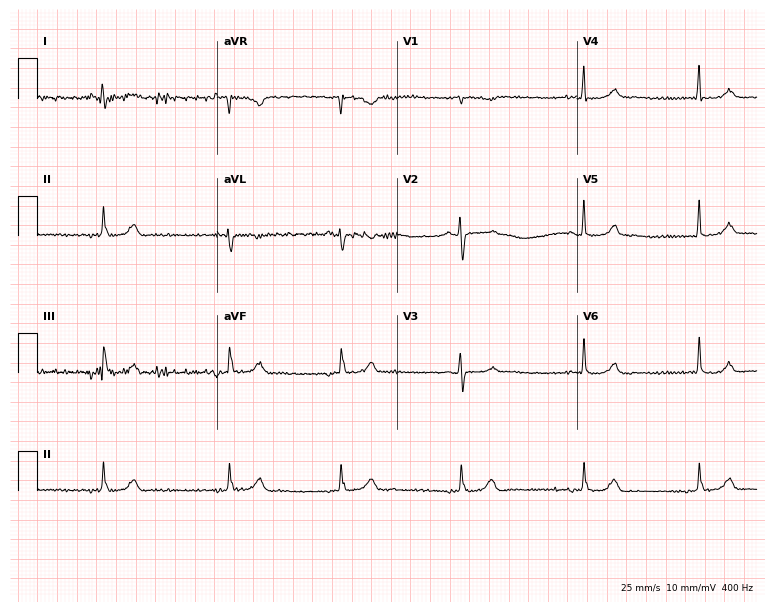
ECG (7.3-second recording at 400 Hz) — a 50-year-old female. Screened for six findings — first-degree AV block, right bundle branch block, left bundle branch block, sinus bradycardia, atrial fibrillation, sinus tachycardia — none is recorded.